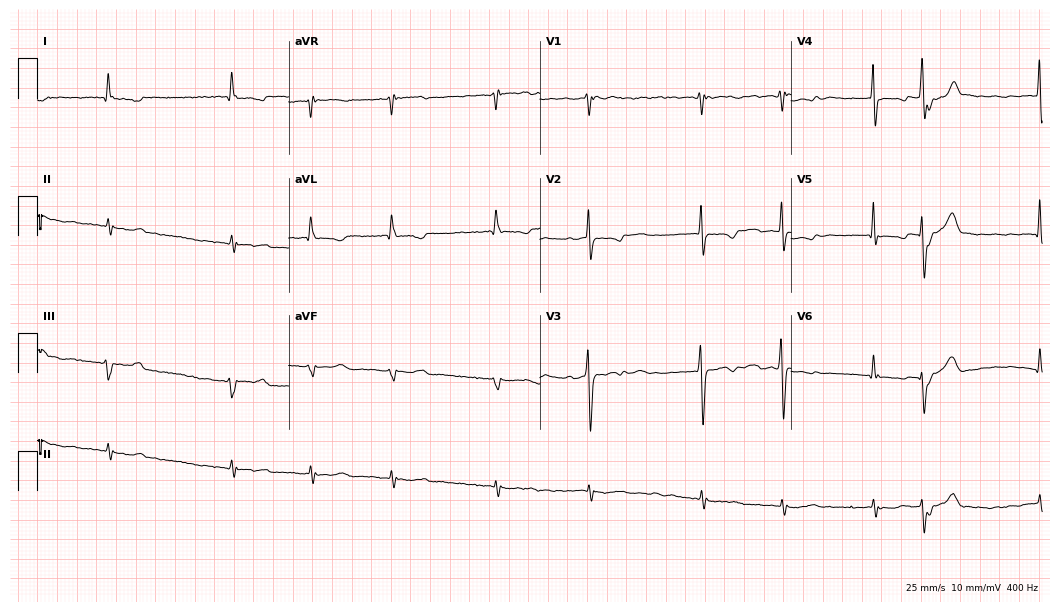
12-lead ECG from a female, 82 years old (10.2-second recording at 400 Hz). Shows atrial fibrillation.